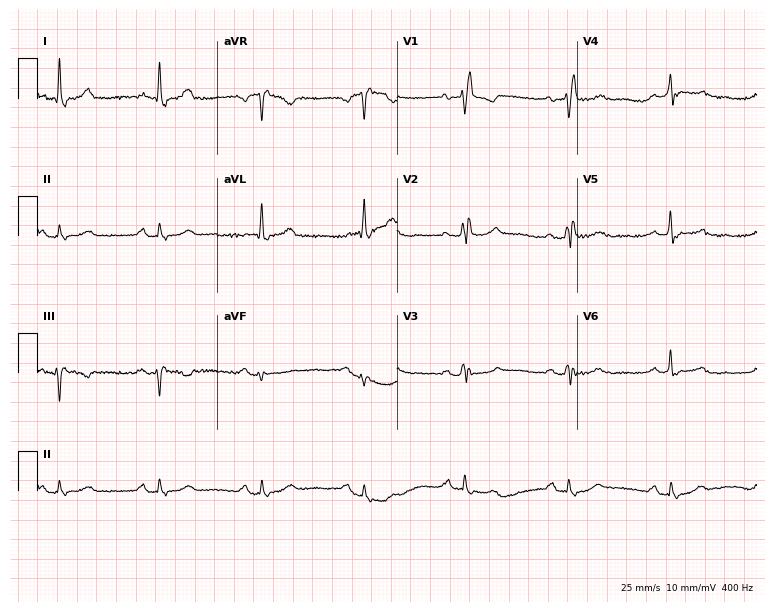
12-lead ECG from a male patient, 77 years old (7.3-second recording at 400 Hz). Shows right bundle branch block.